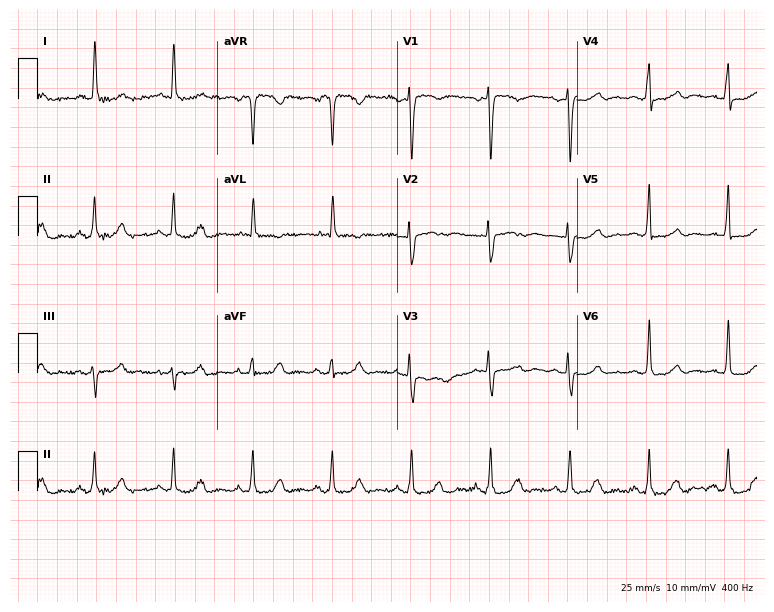
Resting 12-lead electrocardiogram. Patient: a woman, 73 years old. None of these six findings is recorded: first-degree AV block, right bundle branch block (RBBB), left bundle branch block (LBBB), sinus bradycardia, atrial fibrillation (AF), sinus tachycardia. Only these six findings were labelled.